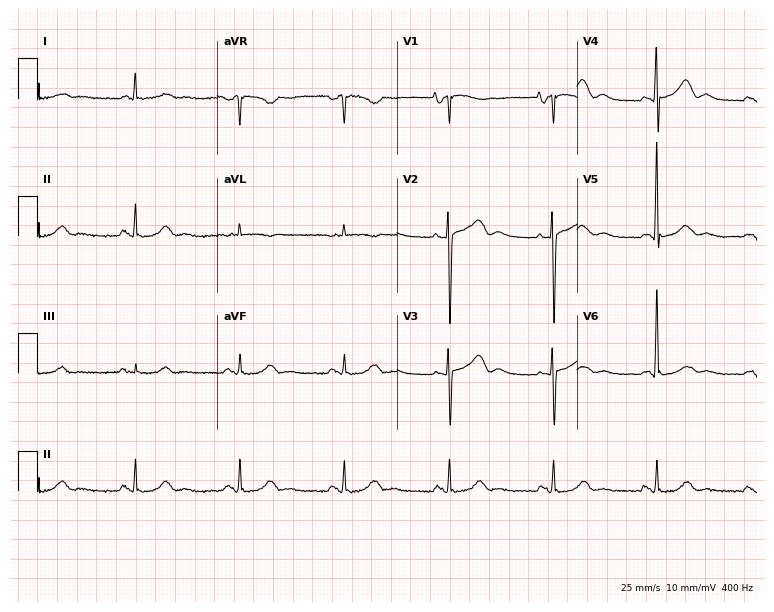
Electrocardiogram (7.3-second recording at 400 Hz), a woman, 84 years old. Of the six screened findings (first-degree AV block, right bundle branch block, left bundle branch block, sinus bradycardia, atrial fibrillation, sinus tachycardia), none is recorded. Findings outside these six are not listed.